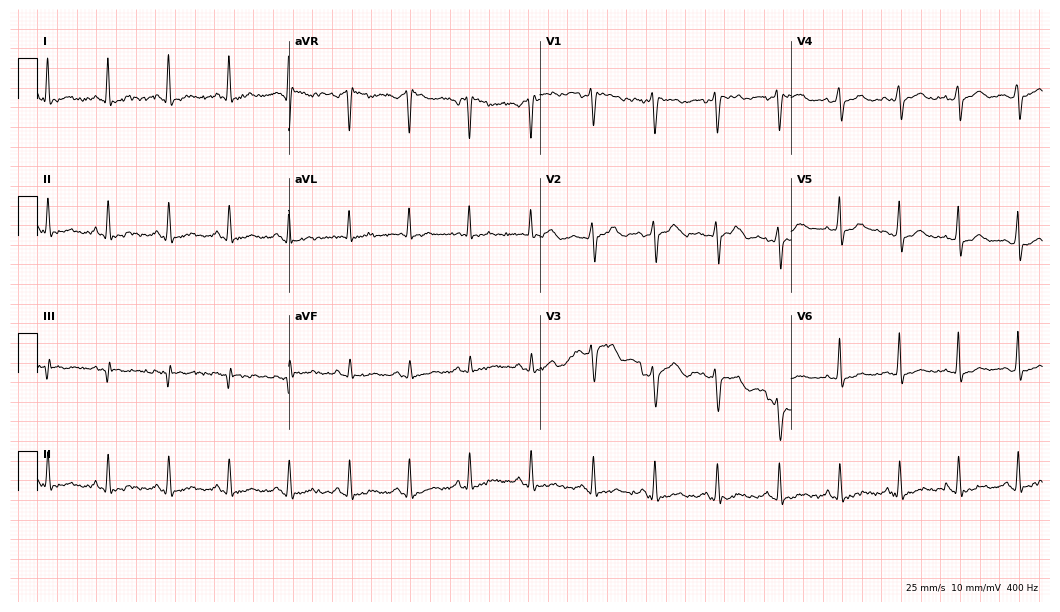
Resting 12-lead electrocardiogram. Patient: a male, 39 years old. Read as a normal ECG.